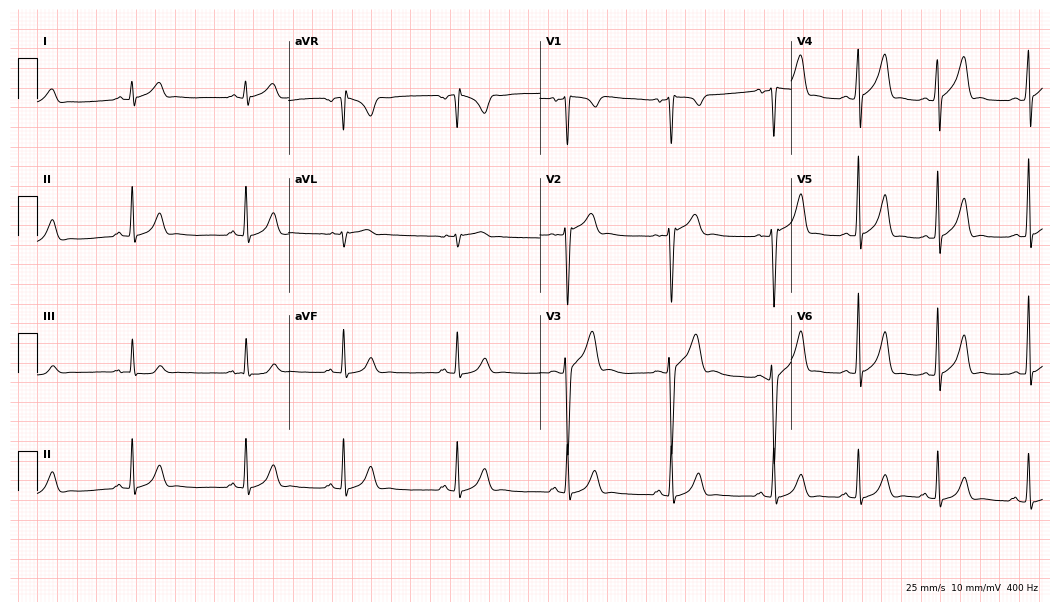
Standard 12-lead ECG recorded from a male patient, 20 years old. None of these six findings is recorded: first-degree AV block, right bundle branch block (RBBB), left bundle branch block (LBBB), sinus bradycardia, atrial fibrillation (AF), sinus tachycardia. Findings outside these six are not listed.